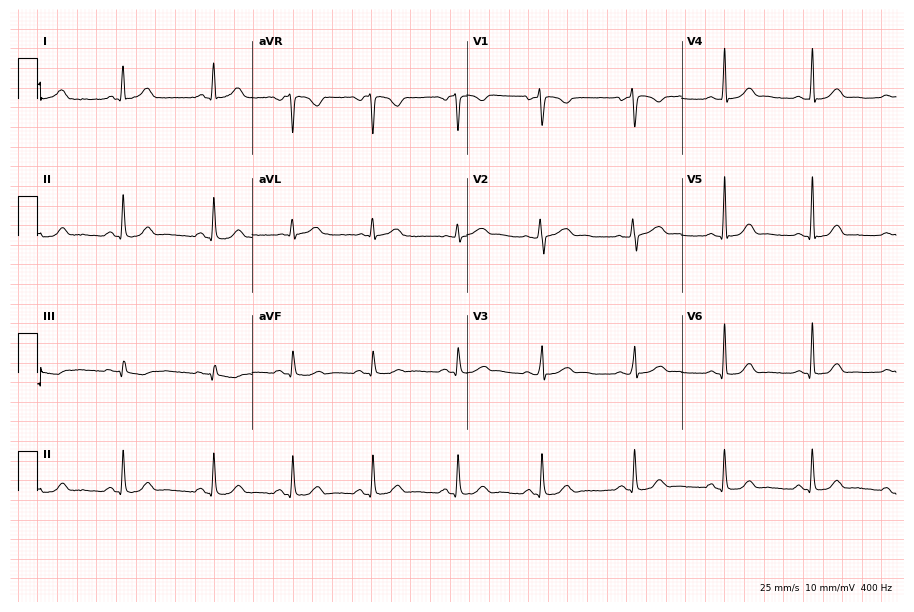
12-lead ECG (8.8-second recording at 400 Hz) from a woman, 39 years old. Labelled as a normal ECG.